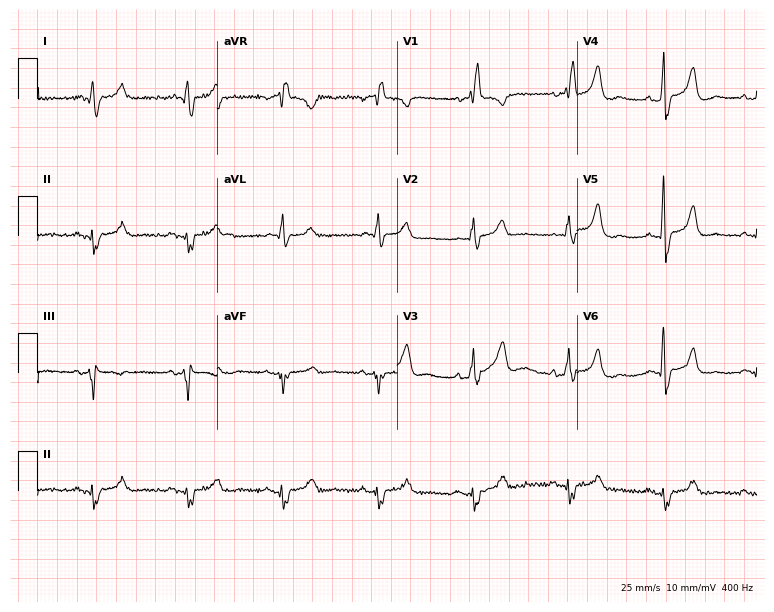
Resting 12-lead electrocardiogram (7.3-second recording at 400 Hz). Patient: a 70-year-old man. The tracing shows right bundle branch block.